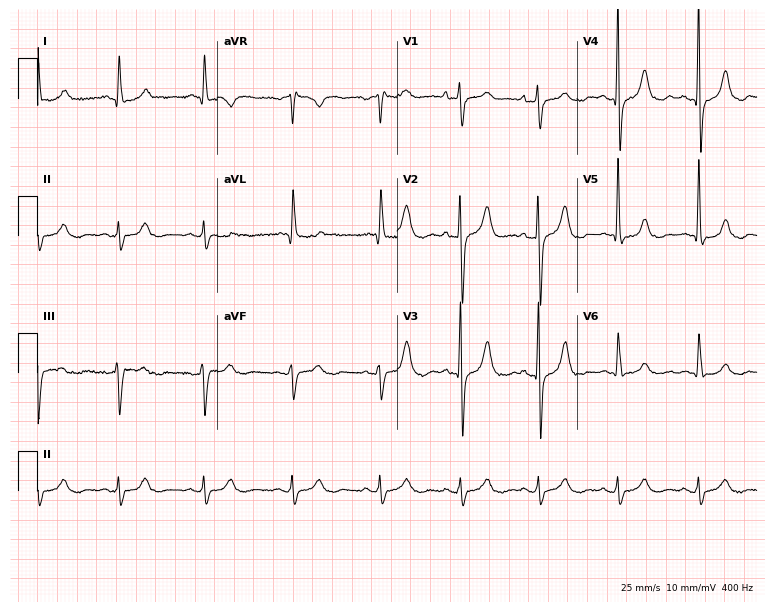
Resting 12-lead electrocardiogram. Patient: a 78-year-old male. None of these six findings is recorded: first-degree AV block, right bundle branch block, left bundle branch block, sinus bradycardia, atrial fibrillation, sinus tachycardia. Other findings, if any, are not listed.